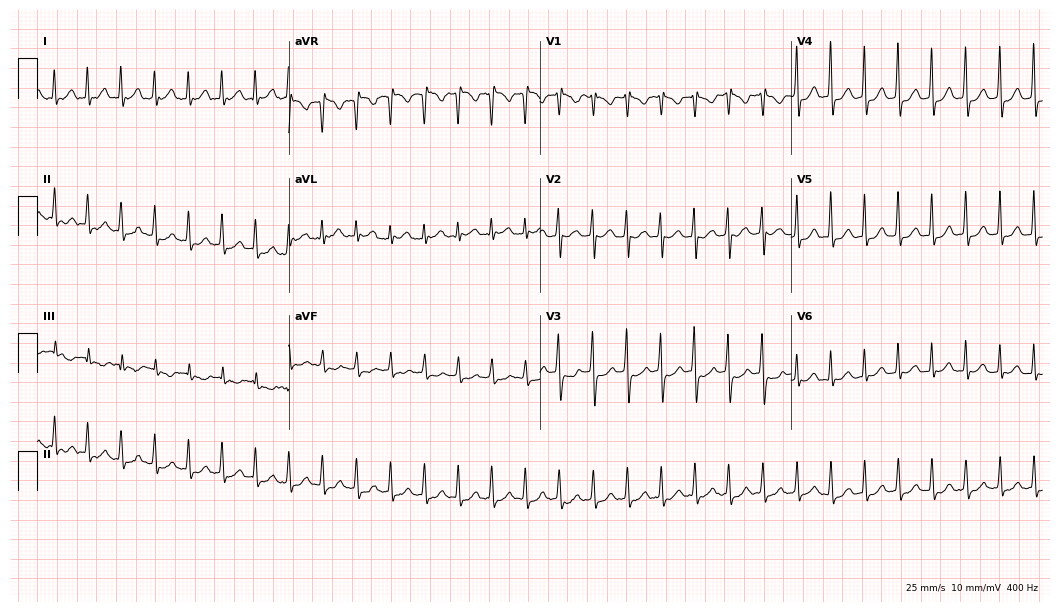
Standard 12-lead ECG recorded from a 42-year-old woman (10.2-second recording at 400 Hz). None of these six findings is recorded: first-degree AV block, right bundle branch block, left bundle branch block, sinus bradycardia, atrial fibrillation, sinus tachycardia.